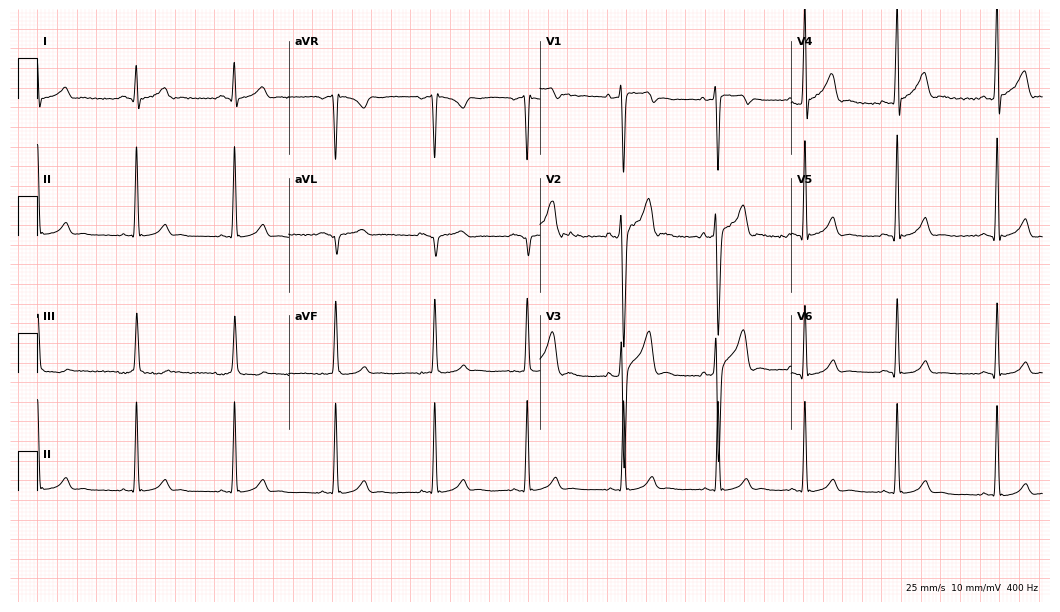
ECG — a 33-year-old male. Labelled as a normal ECG.